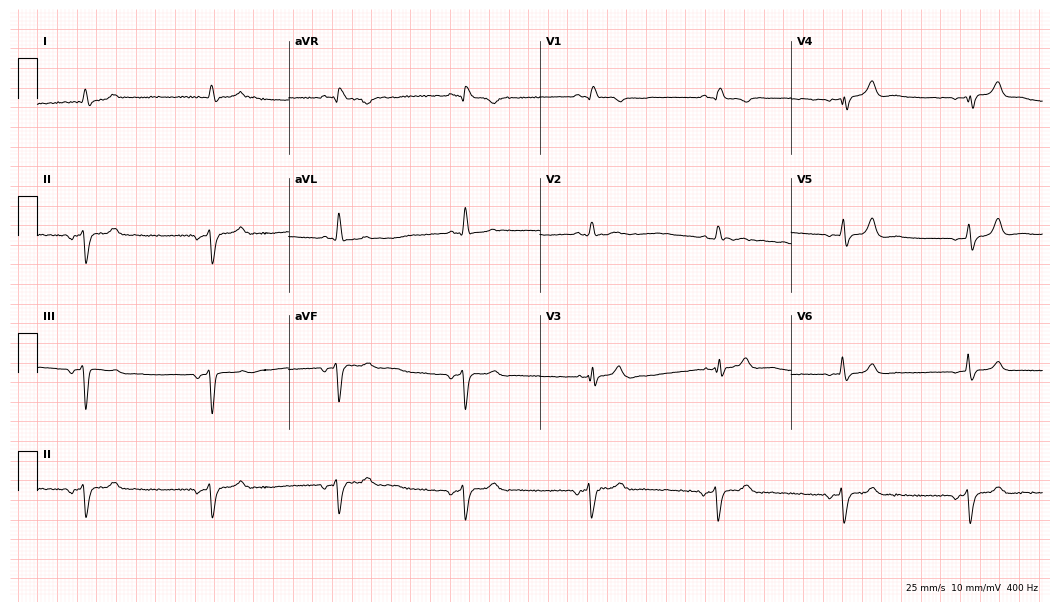
Electrocardiogram, a 61-year-old man. Interpretation includes right bundle branch block (RBBB).